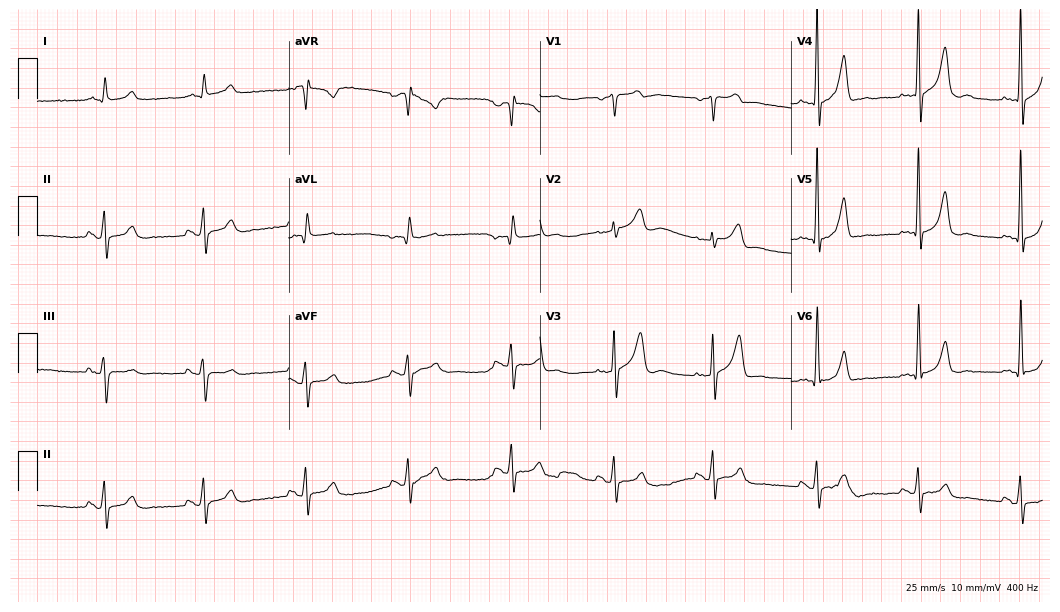
12-lead ECG from a male, 56 years old (10.2-second recording at 400 Hz). No first-degree AV block, right bundle branch block, left bundle branch block, sinus bradycardia, atrial fibrillation or sinus tachycardia recorded for this tracing.